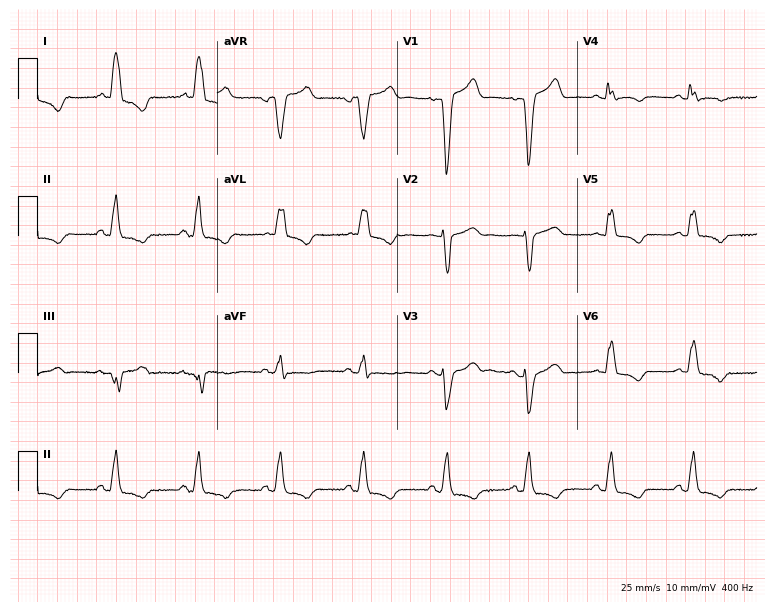
ECG — a 76-year-old female. Findings include left bundle branch block (LBBB).